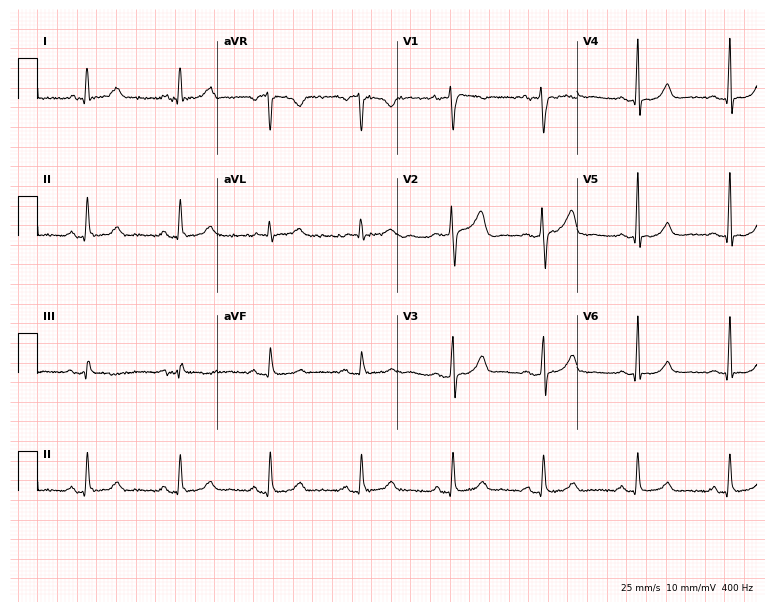
Standard 12-lead ECG recorded from a 52-year-old male (7.3-second recording at 400 Hz). None of these six findings is recorded: first-degree AV block, right bundle branch block, left bundle branch block, sinus bradycardia, atrial fibrillation, sinus tachycardia. Findings outside these six are not listed.